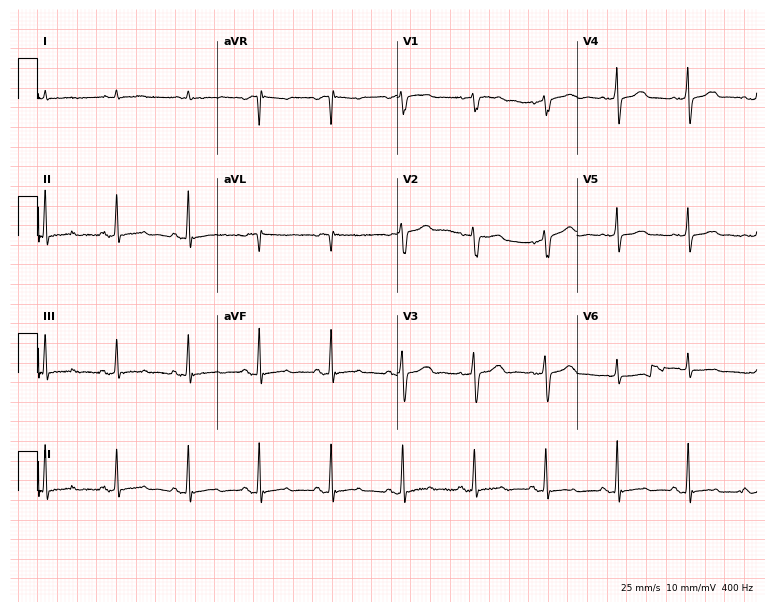
ECG (7.3-second recording at 400 Hz) — a male patient, 83 years old. Screened for six findings — first-degree AV block, right bundle branch block (RBBB), left bundle branch block (LBBB), sinus bradycardia, atrial fibrillation (AF), sinus tachycardia — none is recorded. Findings outside these six are not listed.